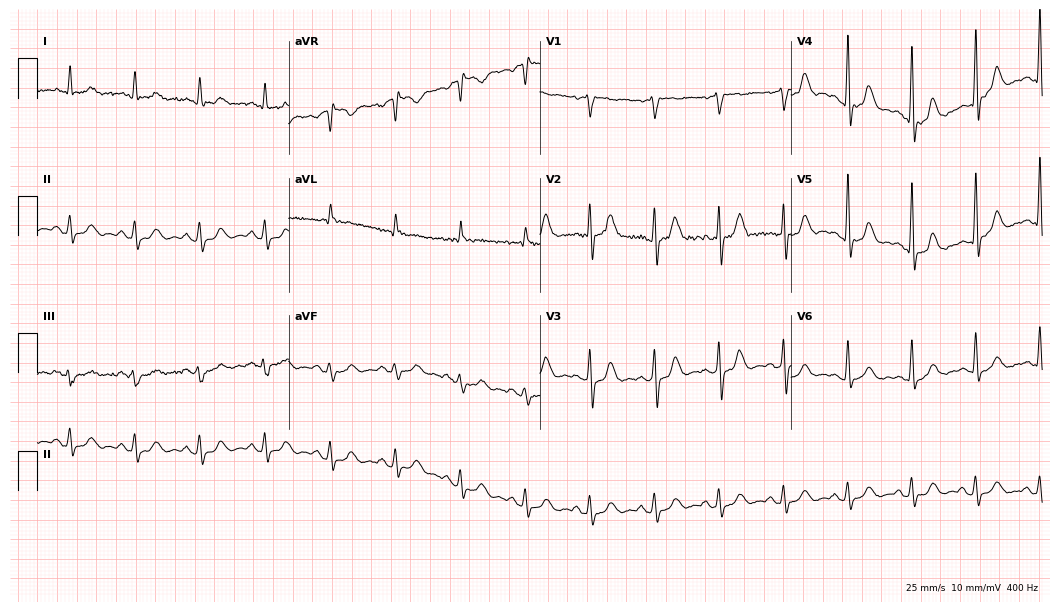
12-lead ECG from a male, 76 years old (10.2-second recording at 400 Hz). Recorded interpretation: within normal limits.